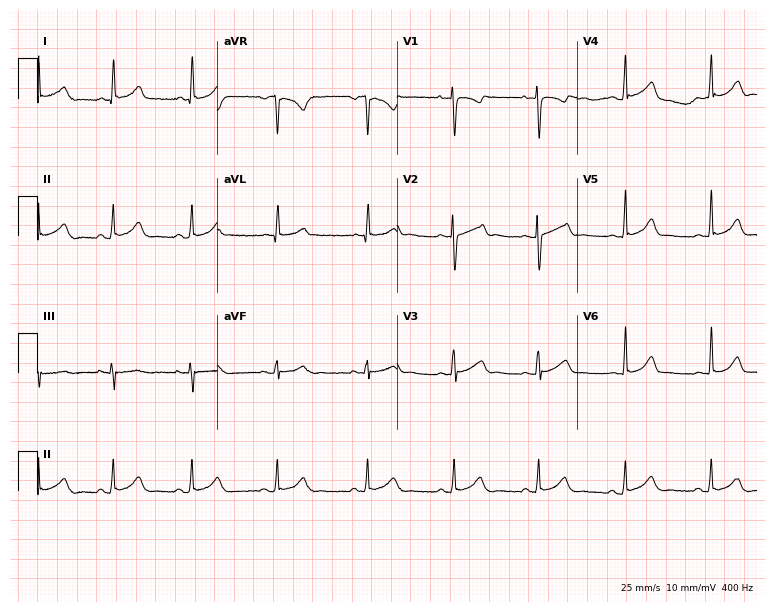
12-lead ECG from a 29-year-old female. No first-degree AV block, right bundle branch block, left bundle branch block, sinus bradycardia, atrial fibrillation or sinus tachycardia recorded for this tracing.